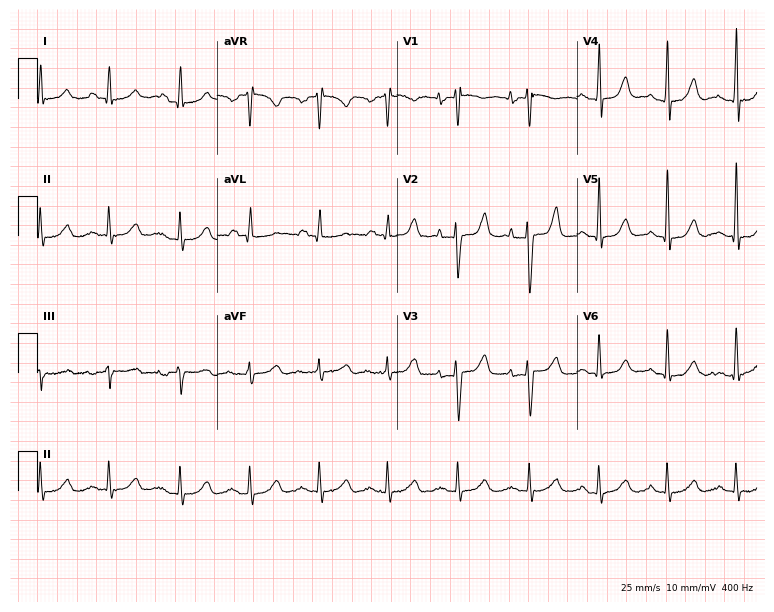
12-lead ECG (7.3-second recording at 400 Hz) from a female patient, 35 years old. Labelled as a normal ECG.